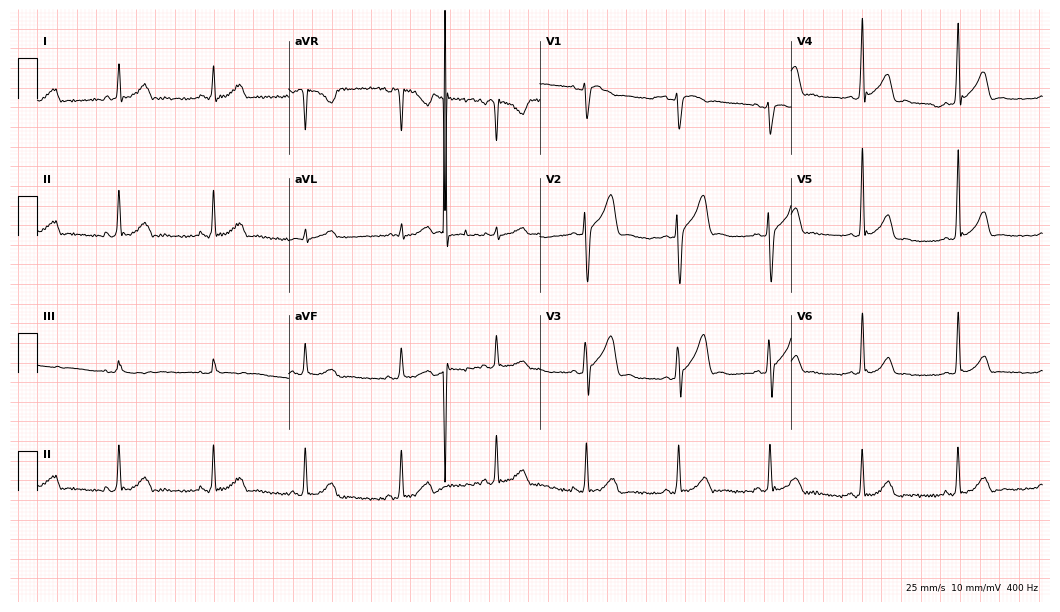
ECG (10.2-second recording at 400 Hz) — a male patient, 37 years old. Screened for six findings — first-degree AV block, right bundle branch block, left bundle branch block, sinus bradycardia, atrial fibrillation, sinus tachycardia — none is recorded. Only these six findings were labelled.